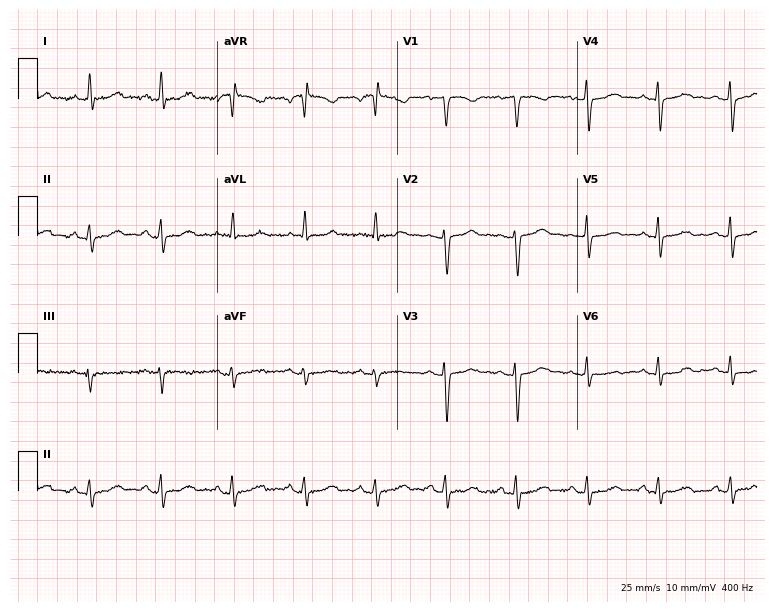
12-lead ECG (7.3-second recording at 400 Hz) from a 45-year-old female. Screened for six findings — first-degree AV block, right bundle branch block, left bundle branch block, sinus bradycardia, atrial fibrillation, sinus tachycardia — none is recorded.